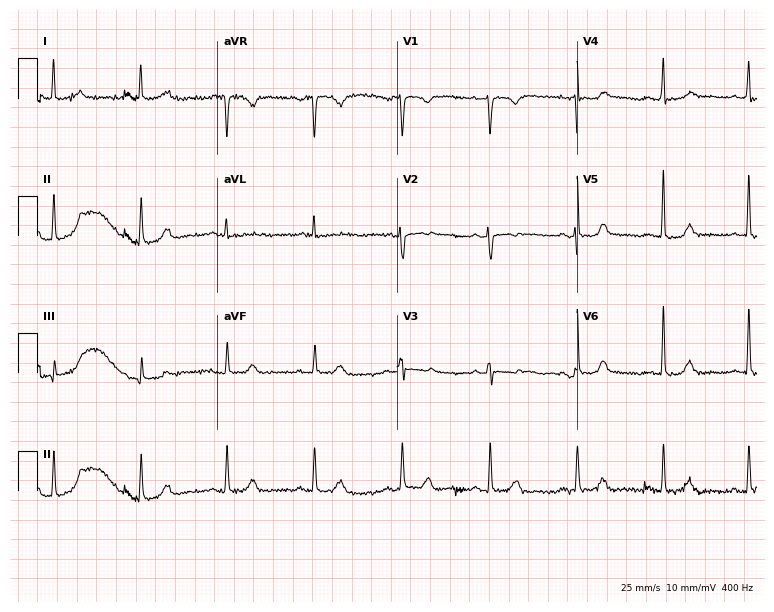
Resting 12-lead electrocardiogram (7.3-second recording at 400 Hz). Patient: a 44-year-old female. Read as a normal ECG.